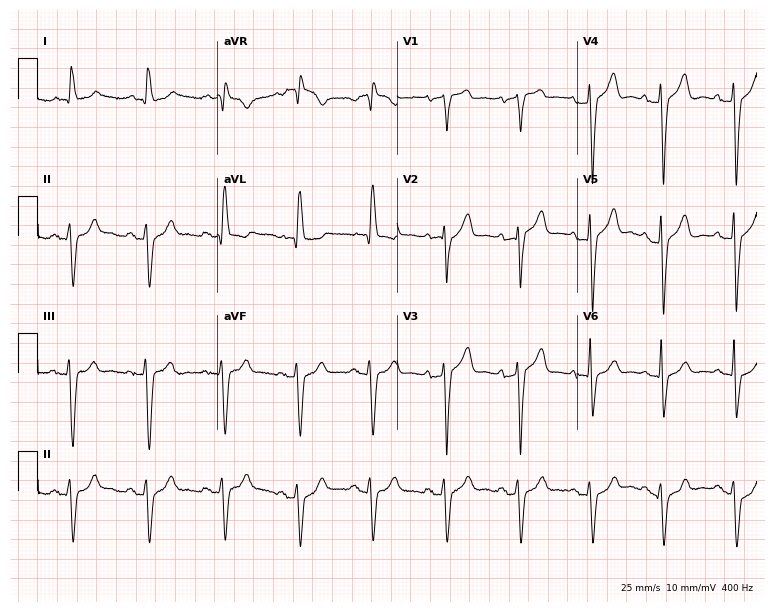
Resting 12-lead electrocardiogram (7.3-second recording at 400 Hz). Patient: a male, 82 years old. None of these six findings is recorded: first-degree AV block, right bundle branch block (RBBB), left bundle branch block (LBBB), sinus bradycardia, atrial fibrillation (AF), sinus tachycardia.